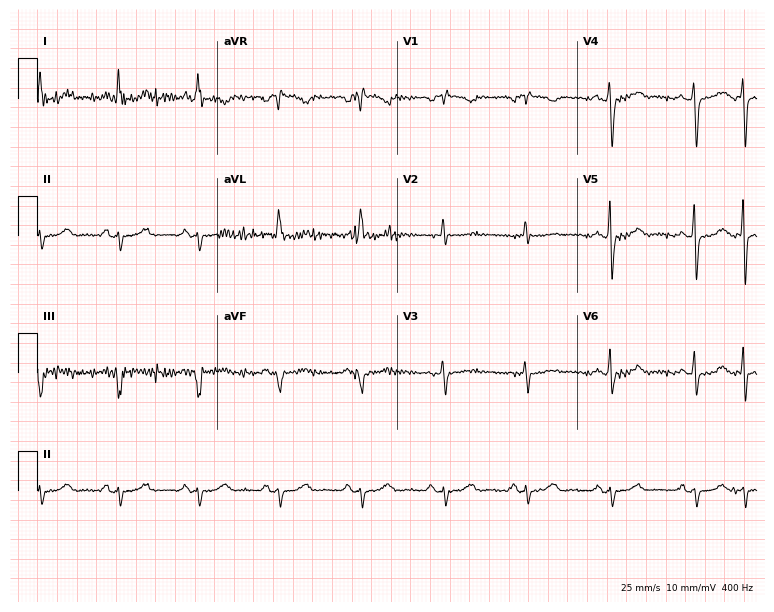
Electrocardiogram (7.3-second recording at 400 Hz), a male, 72 years old. Of the six screened findings (first-degree AV block, right bundle branch block, left bundle branch block, sinus bradycardia, atrial fibrillation, sinus tachycardia), none is recorded.